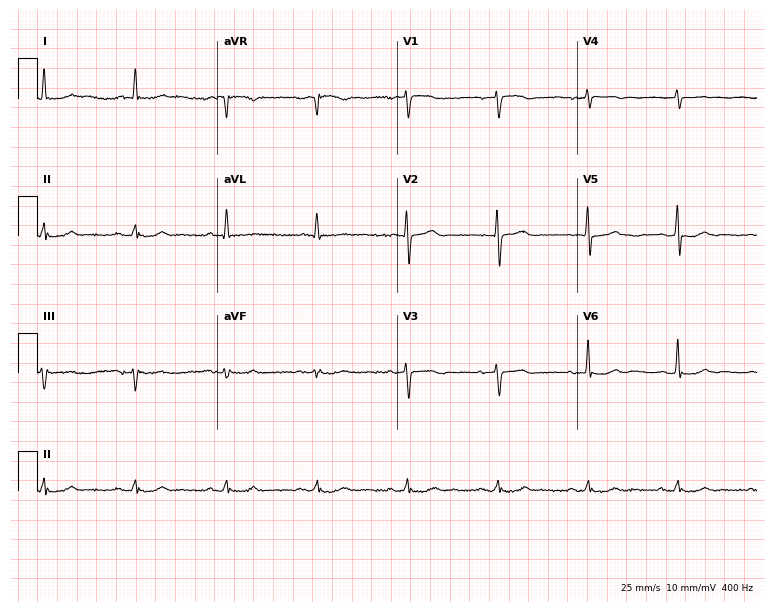
ECG — a male patient, 84 years old. Labelled as a normal ECG.